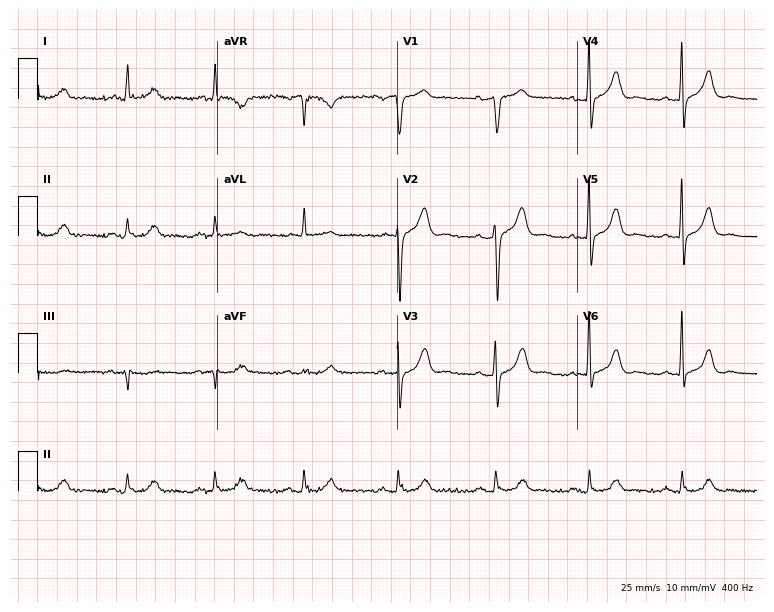
Standard 12-lead ECG recorded from a male, 77 years old (7.3-second recording at 400 Hz). Read as a normal ECG.